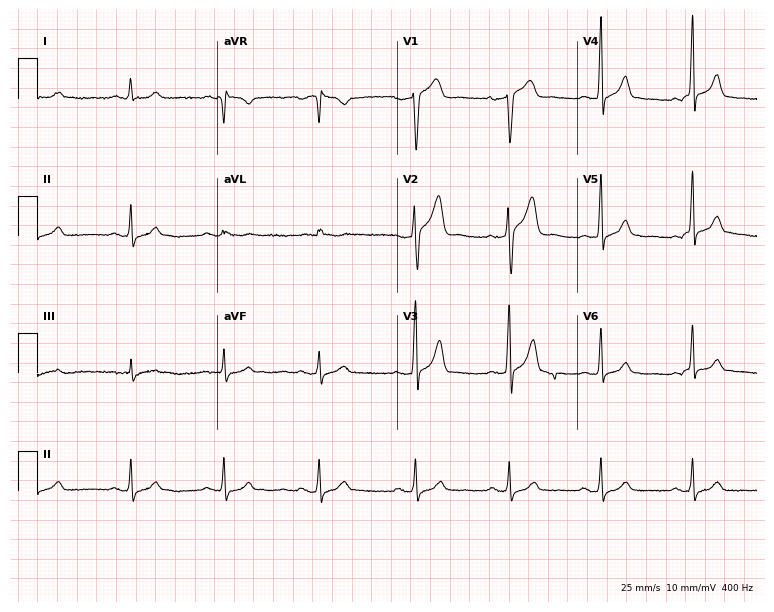
Electrocardiogram, a male patient, 57 years old. Overall reading on record: normal ECG.